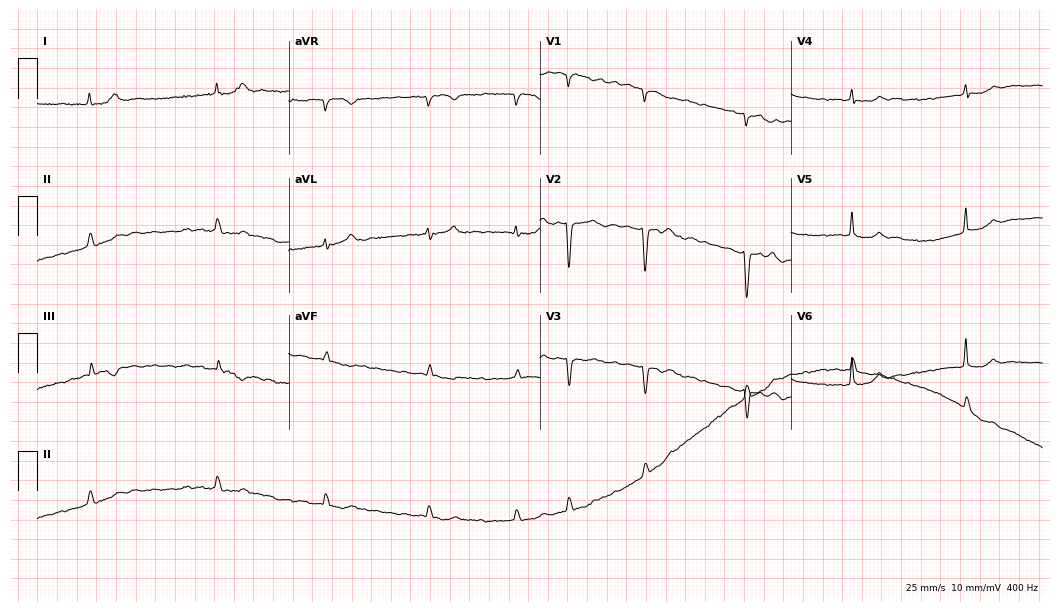
Resting 12-lead electrocardiogram. Patient: a female, 85 years old. The tracing shows atrial fibrillation (AF).